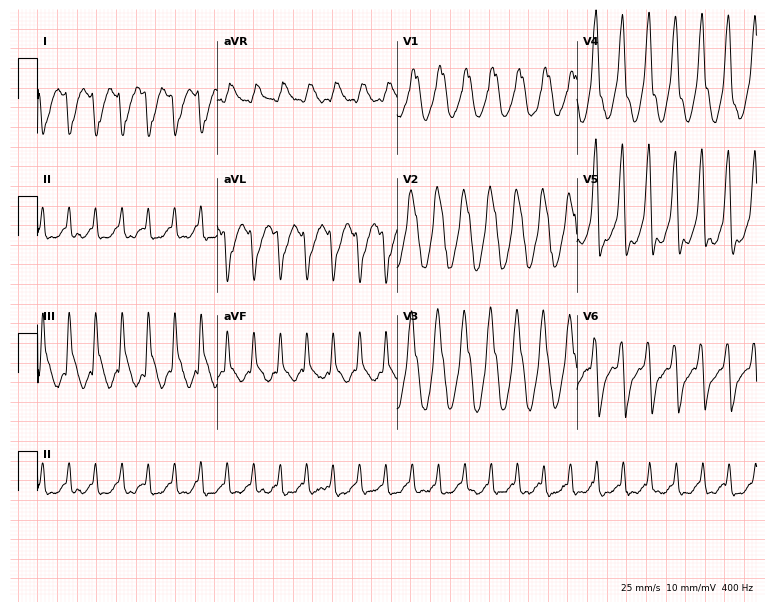
ECG — a woman, 72 years old. Screened for six findings — first-degree AV block, right bundle branch block, left bundle branch block, sinus bradycardia, atrial fibrillation, sinus tachycardia — none is recorded. Only these six findings were labelled.